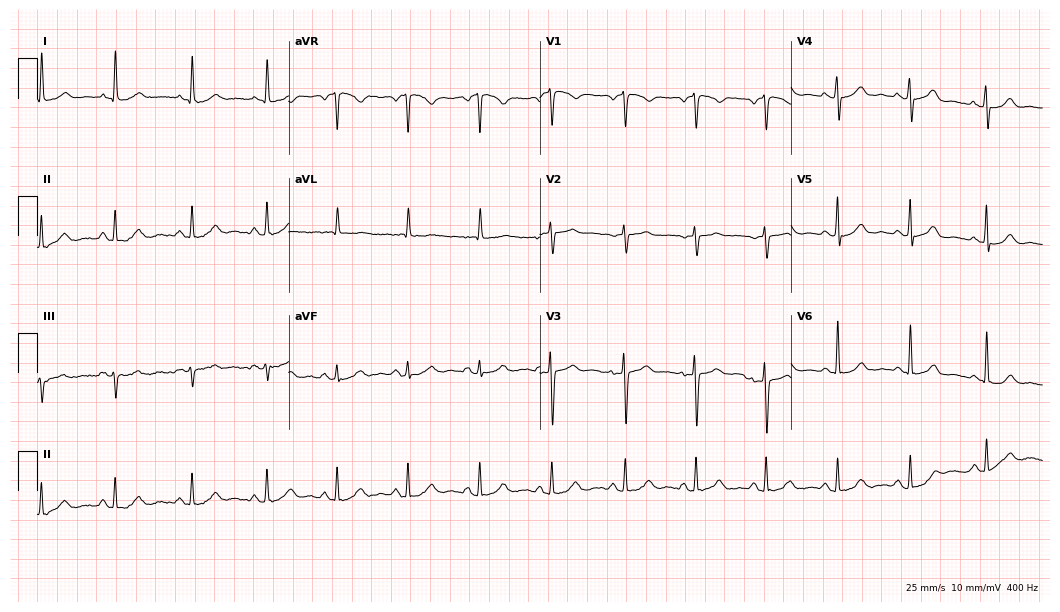
12-lead ECG (10.2-second recording at 400 Hz) from a 73-year-old female patient. Screened for six findings — first-degree AV block, right bundle branch block (RBBB), left bundle branch block (LBBB), sinus bradycardia, atrial fibrillation (AF), sinus tachycardia — none is recorded. Other findings, if any, are not listed.